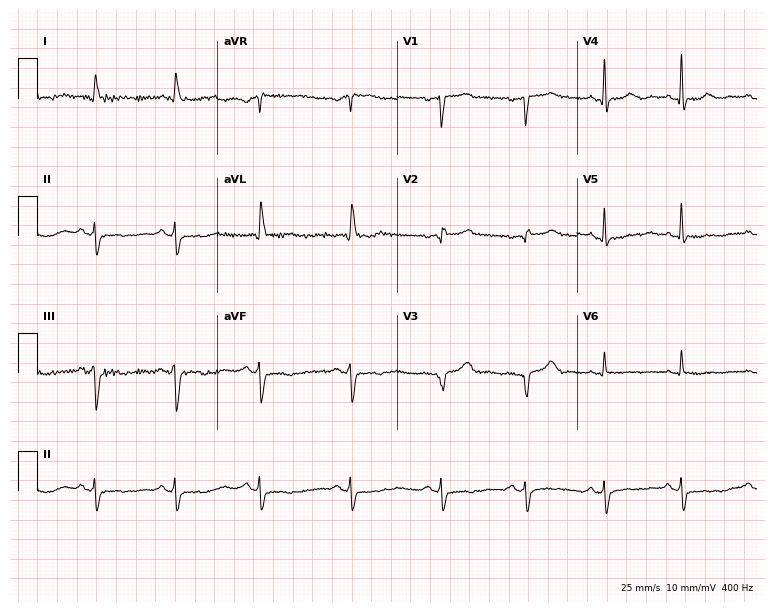
Resting 12-lead electrocardiogram. Patient: a female, 78 years old. None of these six findings is recorded: first-degree AV block, right bundle branch block, left bundle branch block, sinus bradycardia, atrial fibrillation, sinus tachycardia.